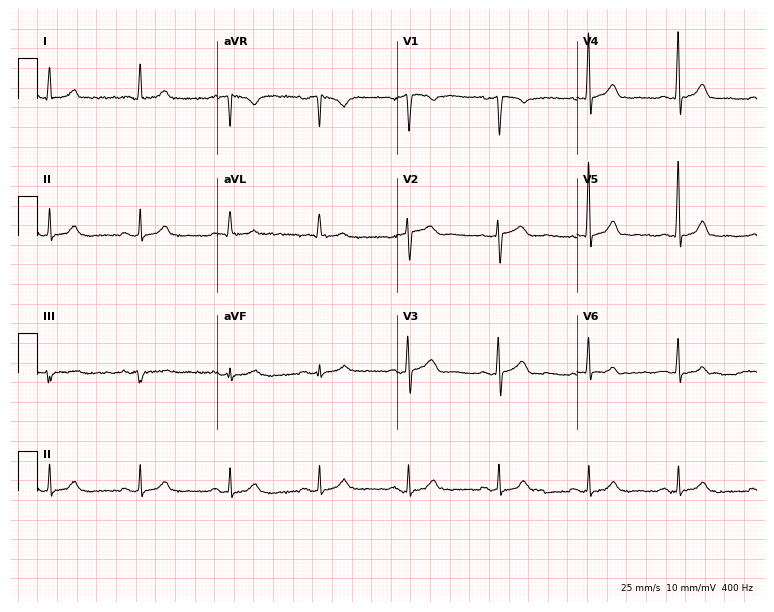
Standard 12-lead ECG recorded from a 67-year-old male patient (7.3-second recording at 400 Hz). Read as a normal ECG.